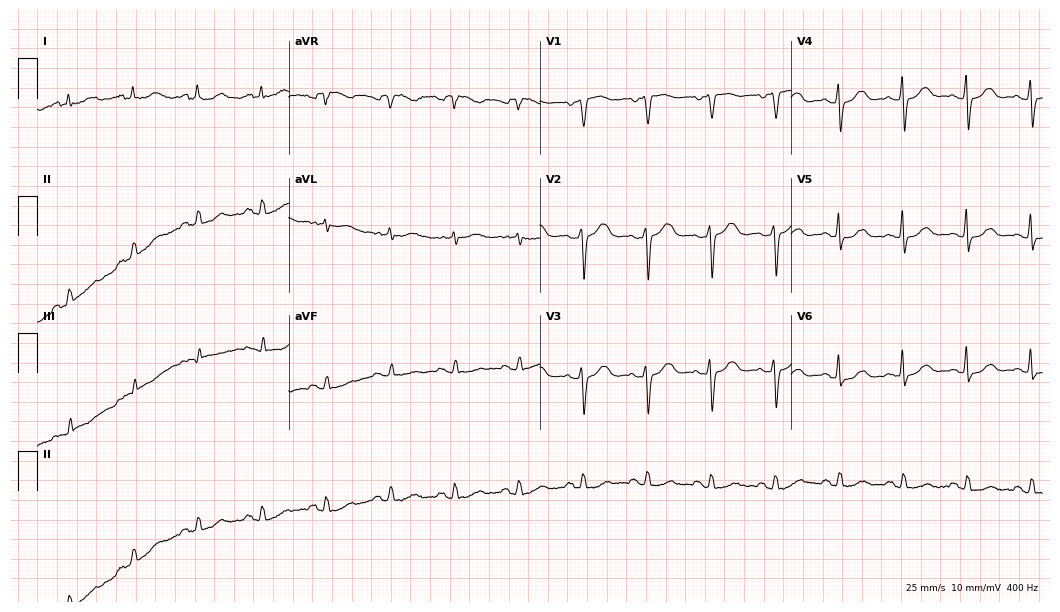
Electrocardiogram (10.2-second recording at 400 Hz), a 76-year-old female patient. Of the six screened findings (first-degree AV block, right bundle branch block (RBBB), left bundle branch block (LBBB), sinus bradycardia, atrial fibrillation (AF), sinus tachycardia), none is recorded.